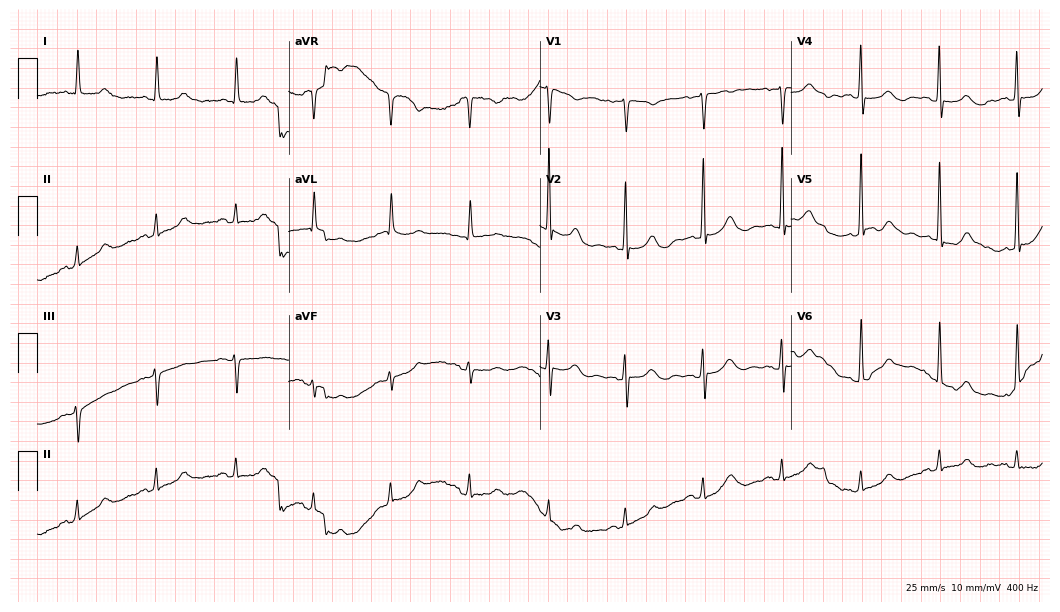
12-lead ECG from an 82-year-old female patient. Recorded interpretation: within normal limits.